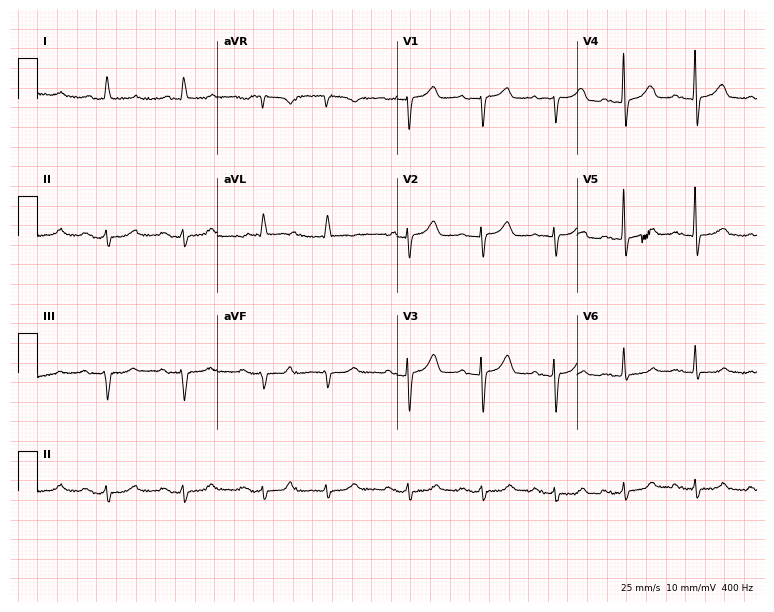
Standard 12-lead ECG recorded from a woman, 73 years old (7.3-second recording at 400 Hz). Read as a normal ECG.